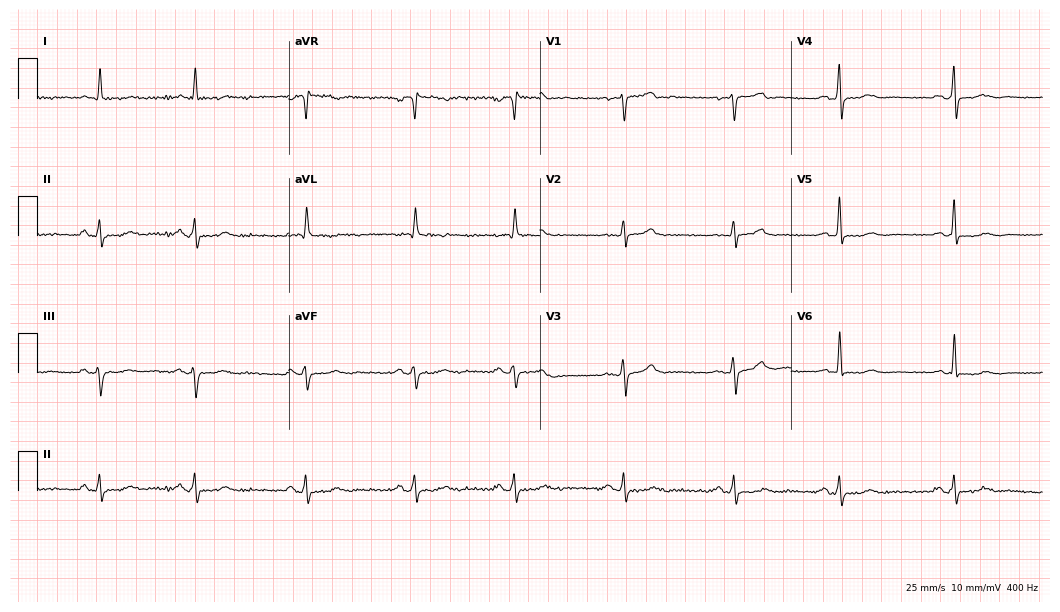
12-lead ECG from a woman, 65 years old. Screened for six findings — first-degree AV block, right bundle branch block, left bundle branch block, sinus bradycardia, atrial fibrillation, sinus tachycardia — none is recorded. Other findings, if any, are not listed.